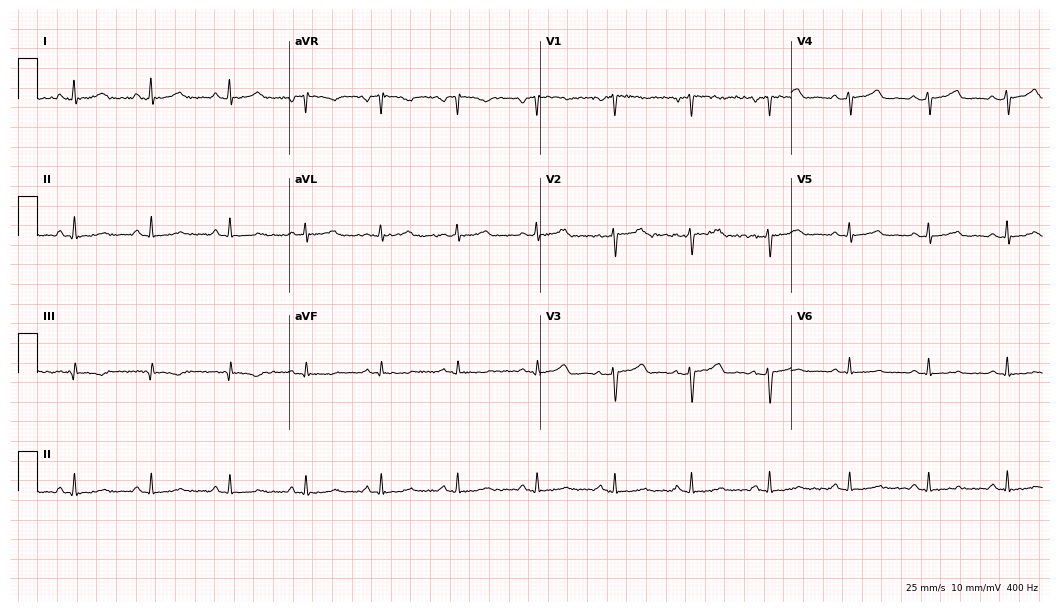
12-lead ECG (10.2-second recording at 400 Hz) from a female patient, 41 years old. Screened for six findings — first-degree AV block, right bundle branch block, left bundle branch block, sinus bradycardia, atrial fibrillation, sinus tachycardia — none is recorded.